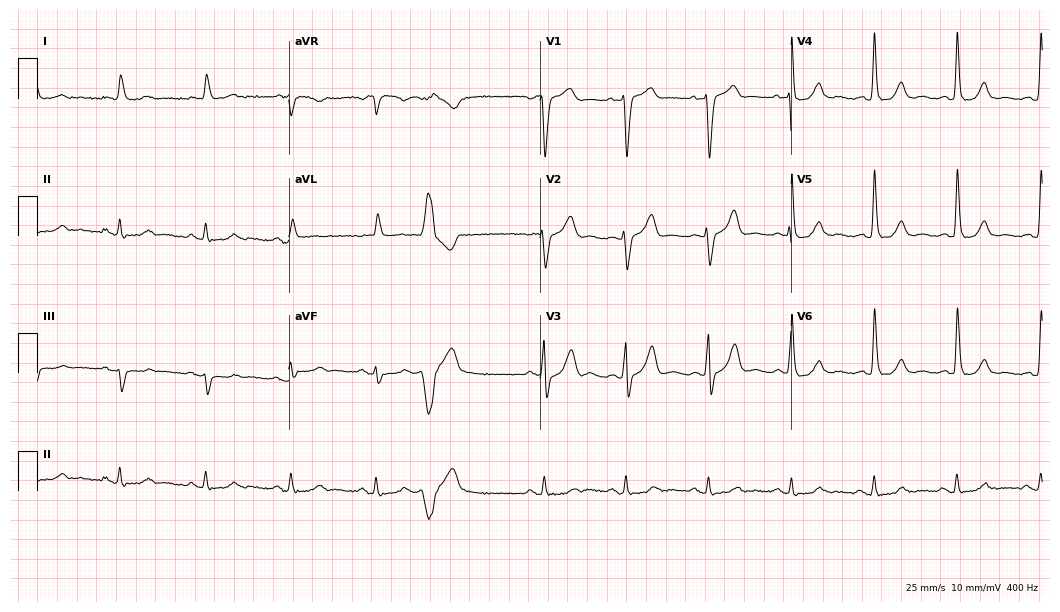
ECG (10.2-second recording at 400 Hz) — a 71-year-old man. Screened for six findings — first-degree AV block, right bundle branch block, left bundle branch block, sinus bradycardia, atrial fibrillation, sinus tachycardia — none is recorded.